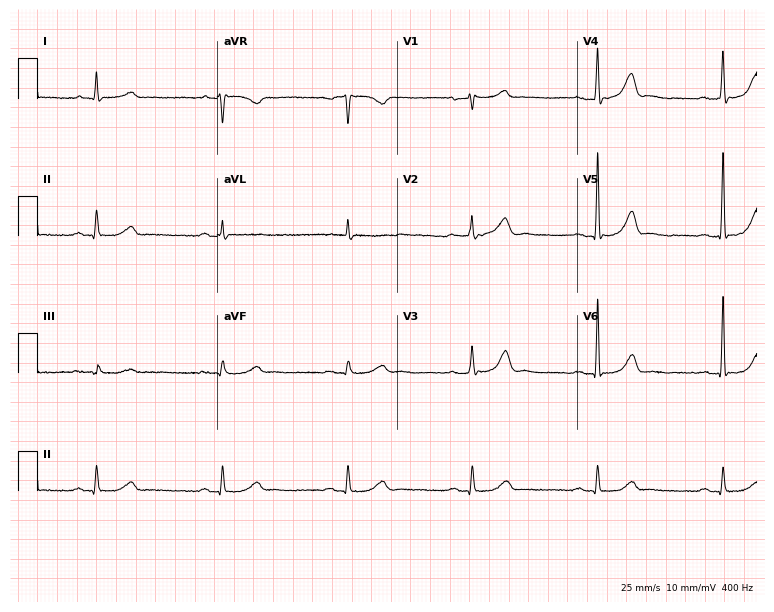
Electrocardiogram (7.3-second recording at 400 Hz), a 57-year-old male. Of the six screened findings (first-degree AV block, right bundle branch block, left bundle branch block, sinus bradycardia, atrial fibrillation, sinus tachycardia), none is recorded. Only these six findings were labelled.